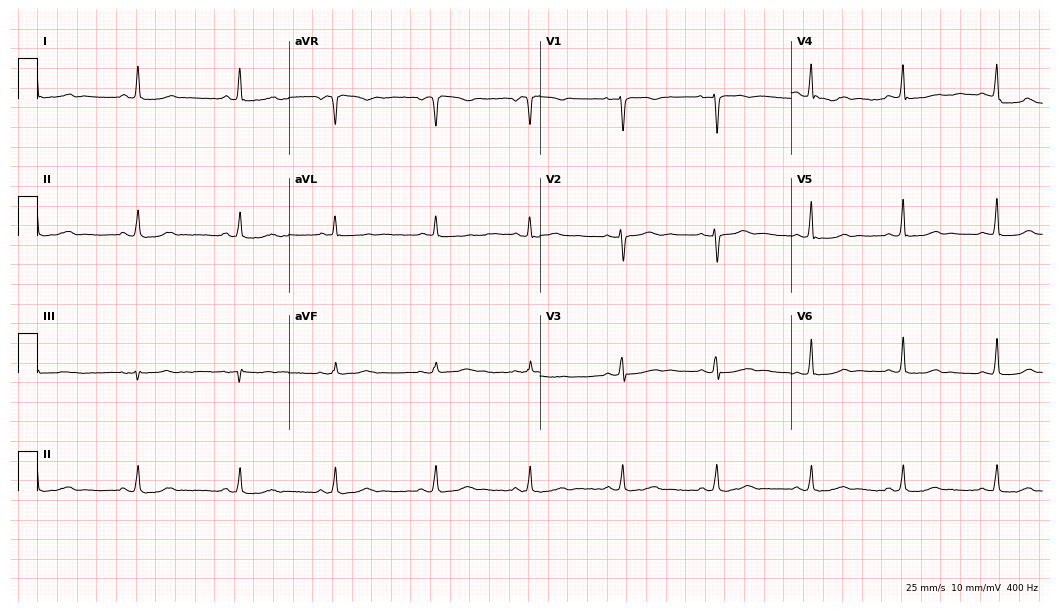
12-lead ECG from a female, 57 years old. Recorded interpretation: within normal limits.